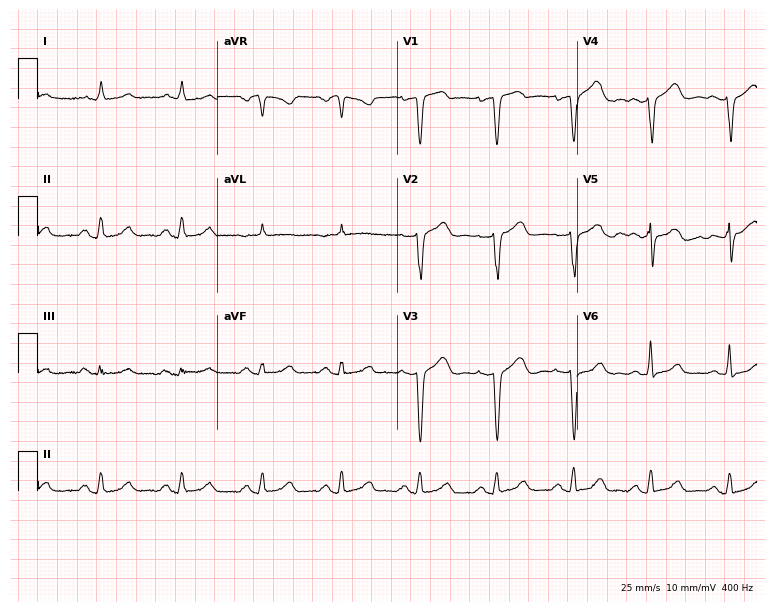
Resting 12-lead electrocardiogram (7.3-second recording at 400 Hz). Patient: a 67-year-old male. None of these six findings is recorded: first-degree AV block, right bundle branch block, left bundle branch block, sinus bradycardia, atrial fibrillation, sinus tachycardia. Only these six findings were labelled.